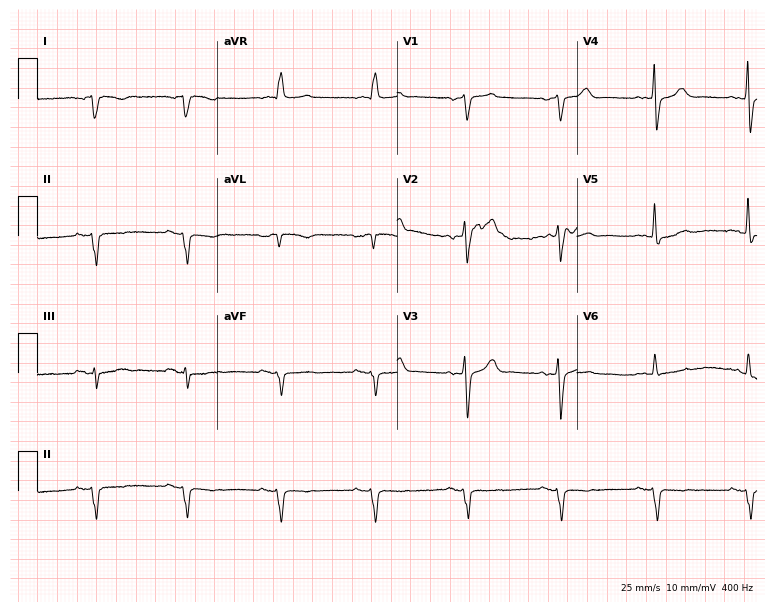
Resting 12-lead electrocardiogram (7.3-second recording at 400 Hz). Patient: a male, 68 years old. None of these six findings is recorded: first-degree AV block, right bundle branch block, left bundle branch block, sinus bradycardia, atrial fibrillation, sinus tachycardia. Only these six findings were labelled.